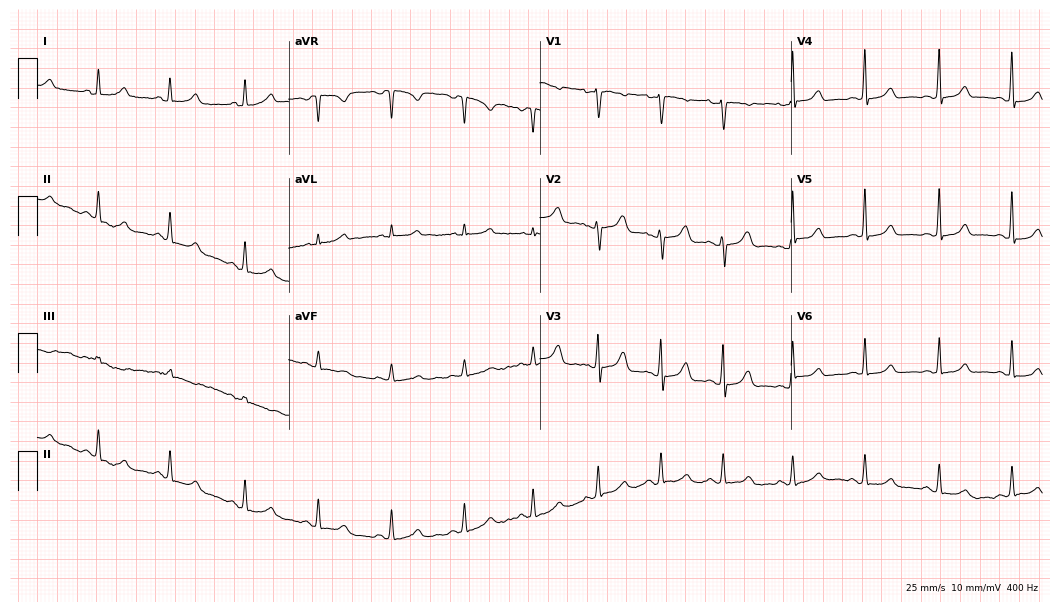
Electrocardiogram, a woman, 28 years old. Overall reading on record: normal ECG.